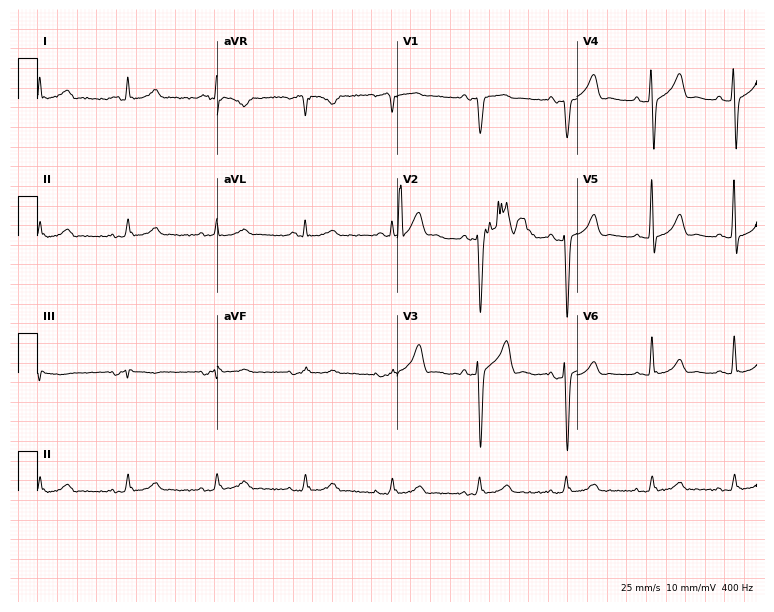
Electrocardiogram, a 73-year-old man. Of the six screened findings (first-degree AV block, right bundle branch block (RBBB), left bundle branch block (LBBB), sinus bradycardia, atrial fibrillation (AF), sinus tachycardia), none is recorded. Findings outside these six are not listed.